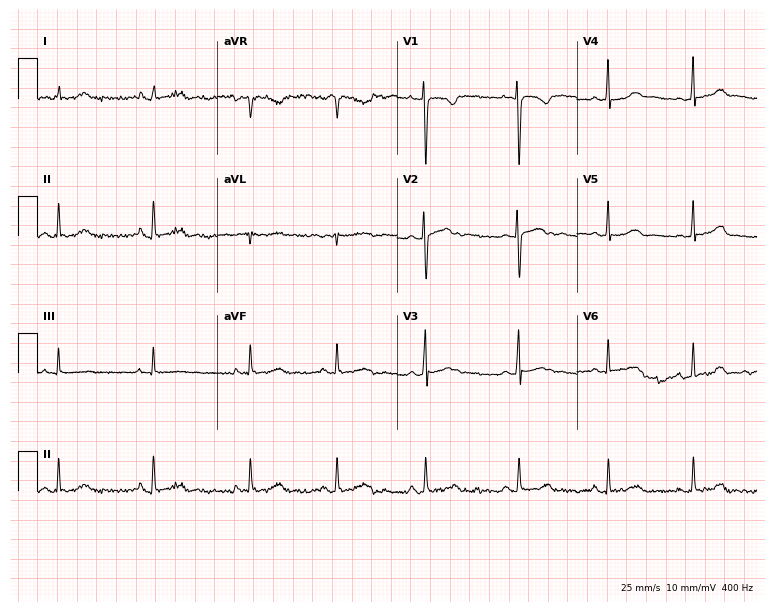
Resting 12-lead electrocardiogram (7.3-second recording at 400 Hz). Patient: a female, 19 years old. Read as a normal ECG.